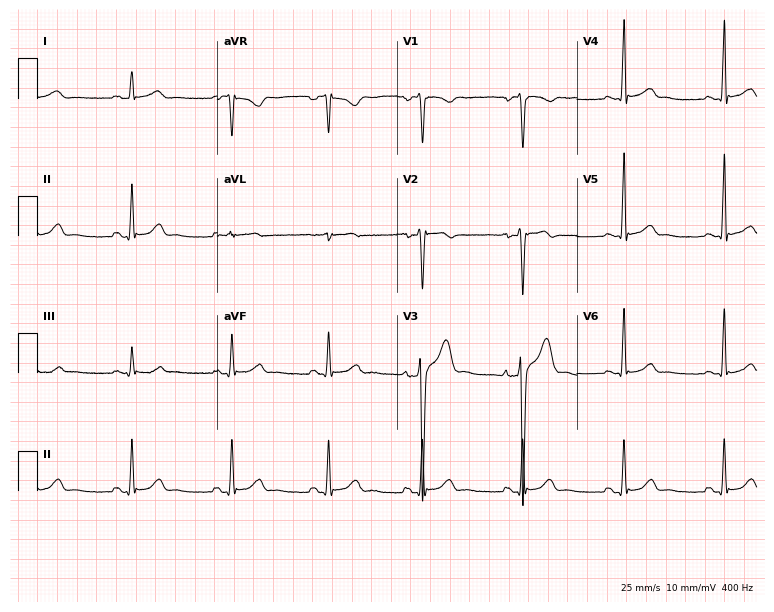
12-lead ECG (7.3-second recording at 400 Hz) from a man, 36 years old. Labelled as a normal ECG.